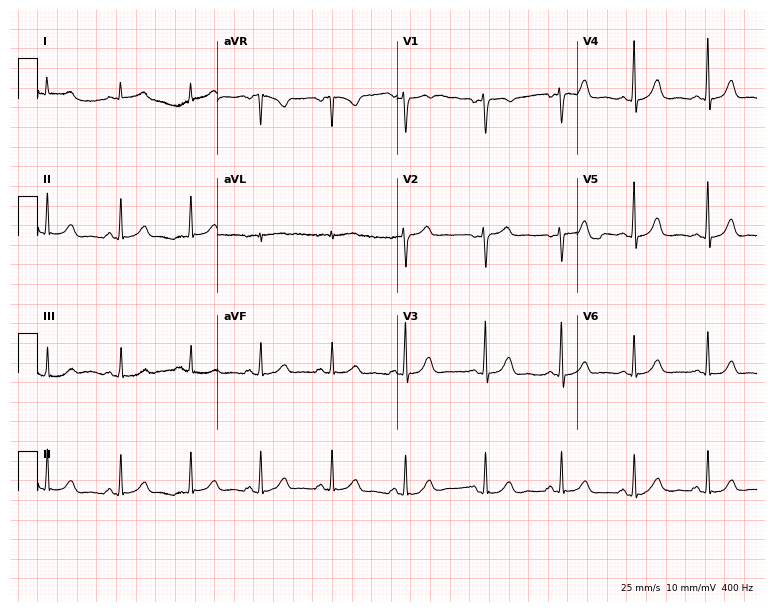
Resting 12-lead electrocardiogram (7.3-second recording at 400 Hz). Patient: a 45-year-old woman. None of these six findings is recorded: first-degree AV block, right bundle branch block, left bundle branch block, sinus bradycardia, atrial fibrillation, sinus tachycardia.